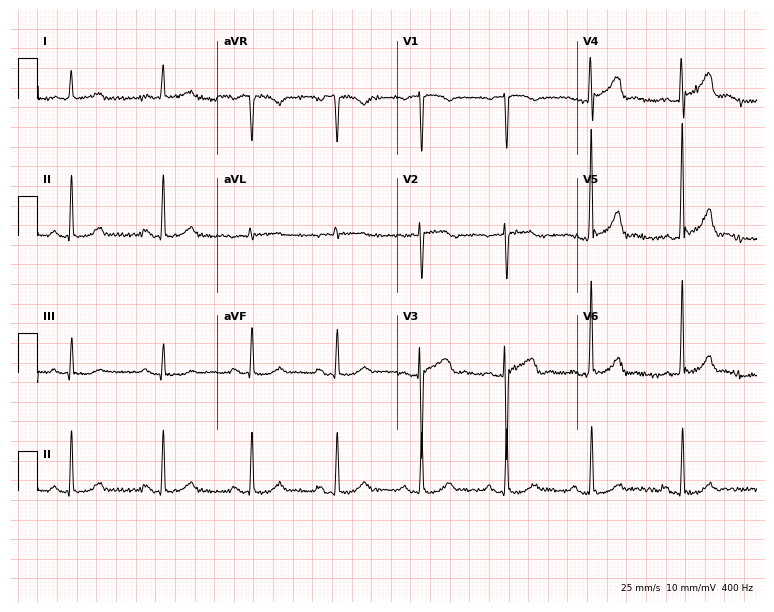
Resting 12-lead electrocardiogram. Patient: a male, 80 years old. Read as a normal ECG.